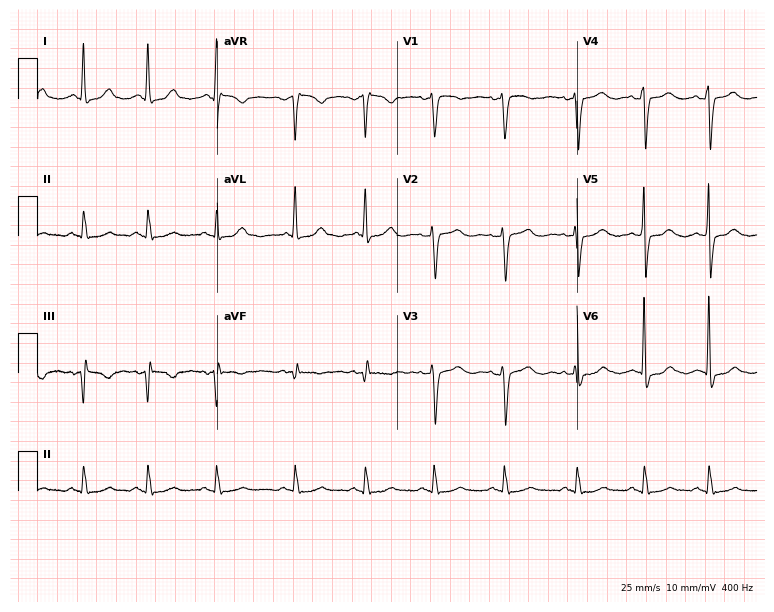
12-lead ECG from a female, 60 years old. Screened for six findings — first-degree AV block, right bundle branch block, left bundle branch block, sinus bradycardia, atrial fibrillation, sinus tachycardia — none is recorded.